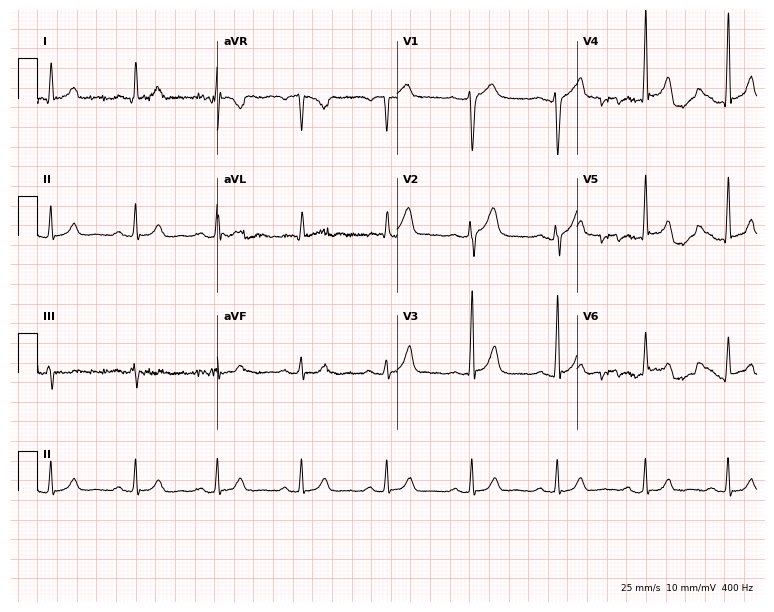
ECG — a 50-year-old male patient. Labelled as a normal ECG.